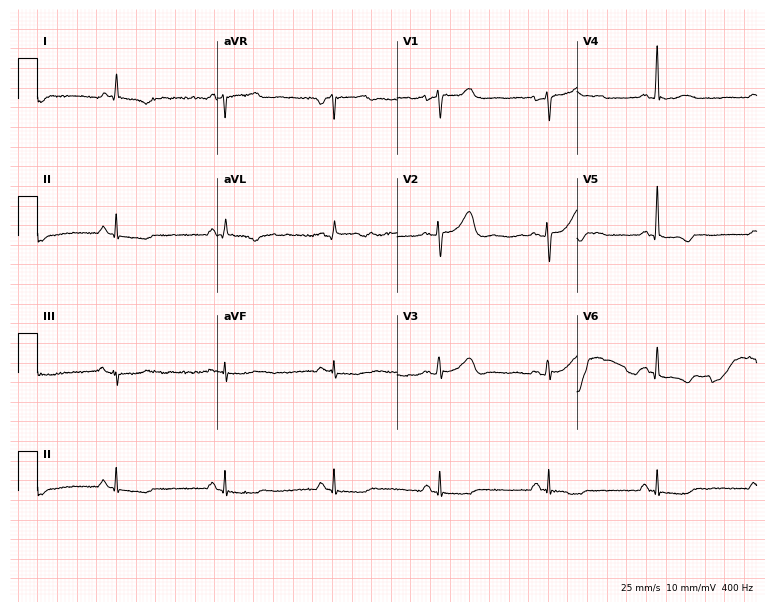
12-lead ECG from a man, 48 years old (7.3-second recording at 400 Hz). No first-degree AV block, right bundle branch block, left bundle branch block, sinus bradycardia, atrial fibrillation or sinus tachycardia recorded for this tracing.